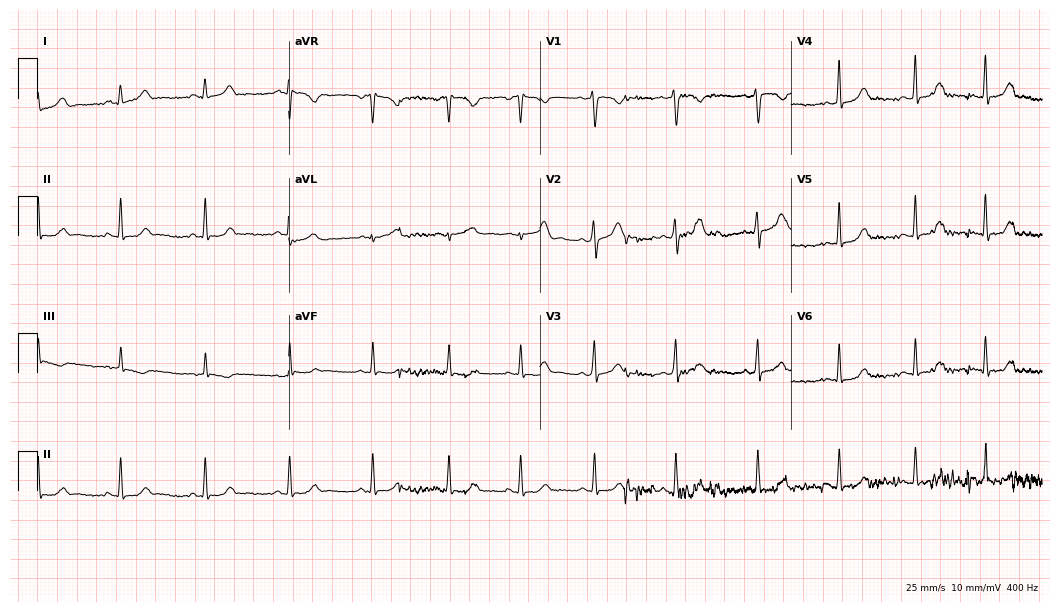
Resting 12-lead electrocardiogram (10.2-second recording at 400 Hz). Patient: a 24-year-old female. Read as a normal ECG.